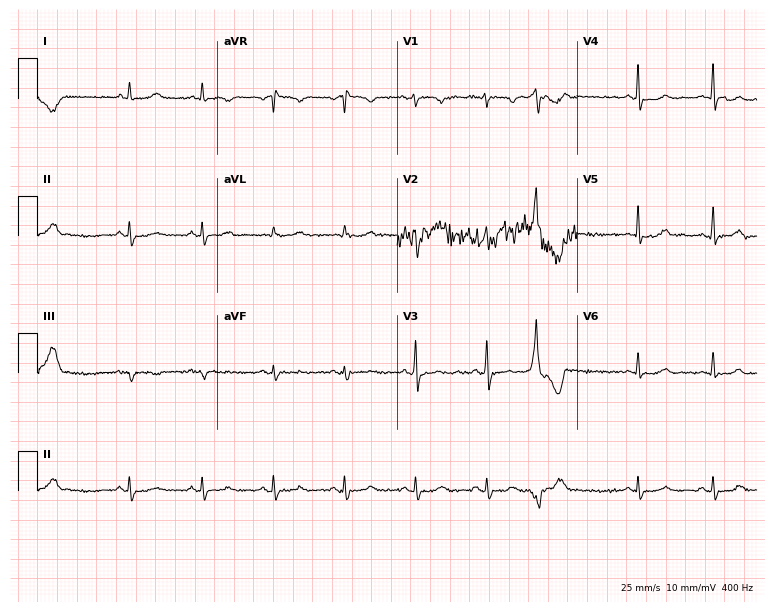
Resting 12-lead electrocardiogram (7.3-second recording at 400 Hz). Patient: a 34-year-old female. None of these six findings is recorded: first-degree AV block, right bundle branch block, left bundle branch block, sinus bradycardia, atrial fibrillation, sinus tachycardia. Other findings, if any, are not listed.